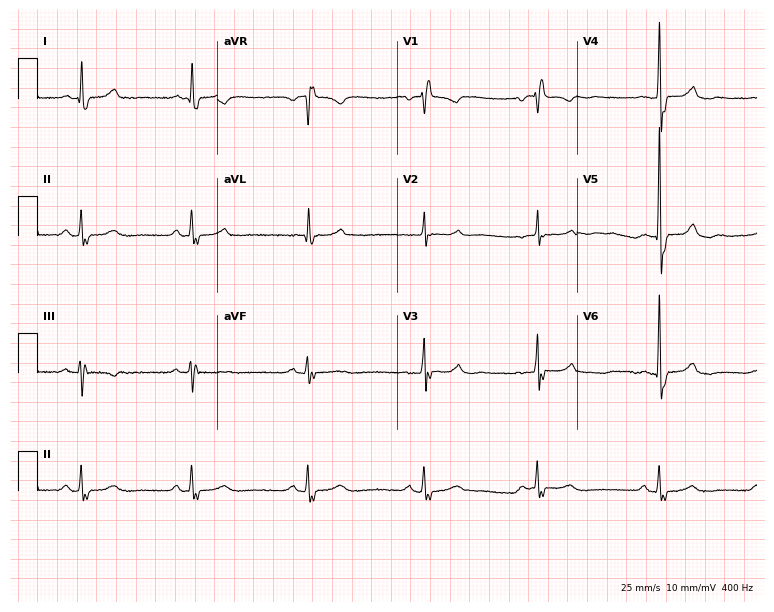
Standard 12-lead ECG recorded from an 82-year-old woman. The tracing shows right bundle branch block (RBBB).